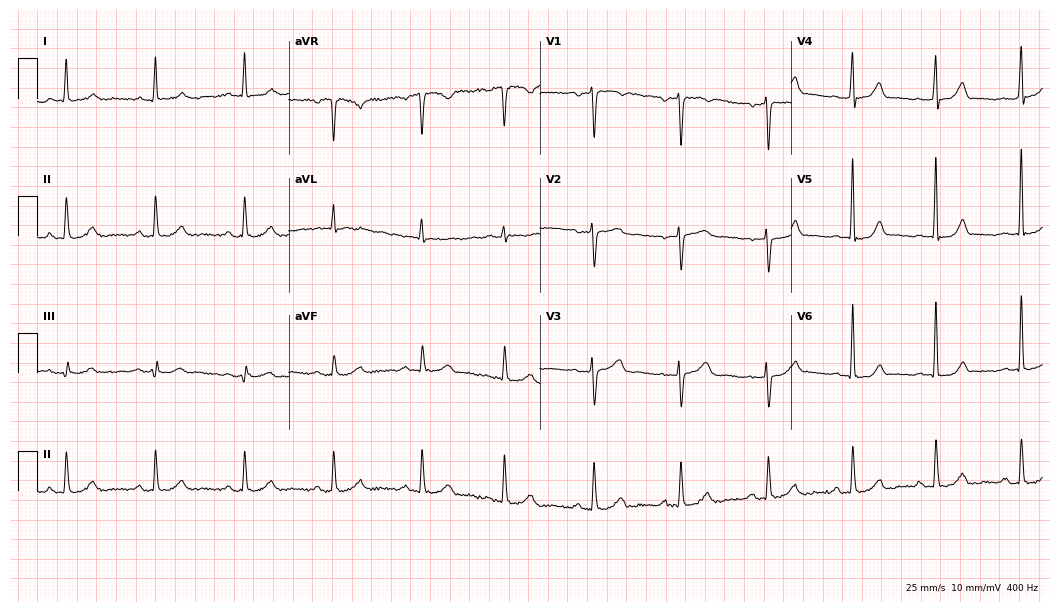
Resting 12-lead electrocardiogram (10.2-second recording at 400 Hz). Patient: a female, 66 years old. Read as a normal ECG.